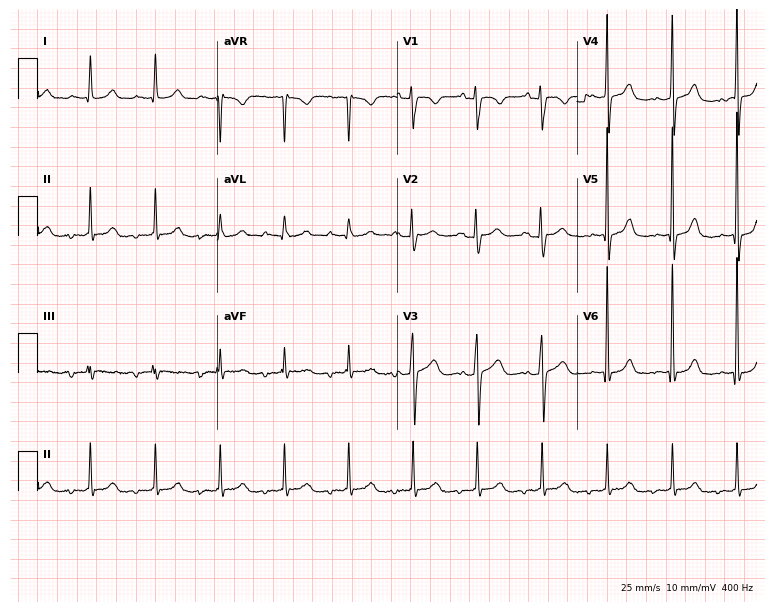
Electrocardiogram (7.3-second recording at 400 Hz), a 35-year-old female patient. Of the six screened findings (first-degree AV block, right bundle branch block, left bundle branch block, sinus bradycardia, atrial fibrillation, sinus tachycardia), none is recorded. Only these six findings were labelled.